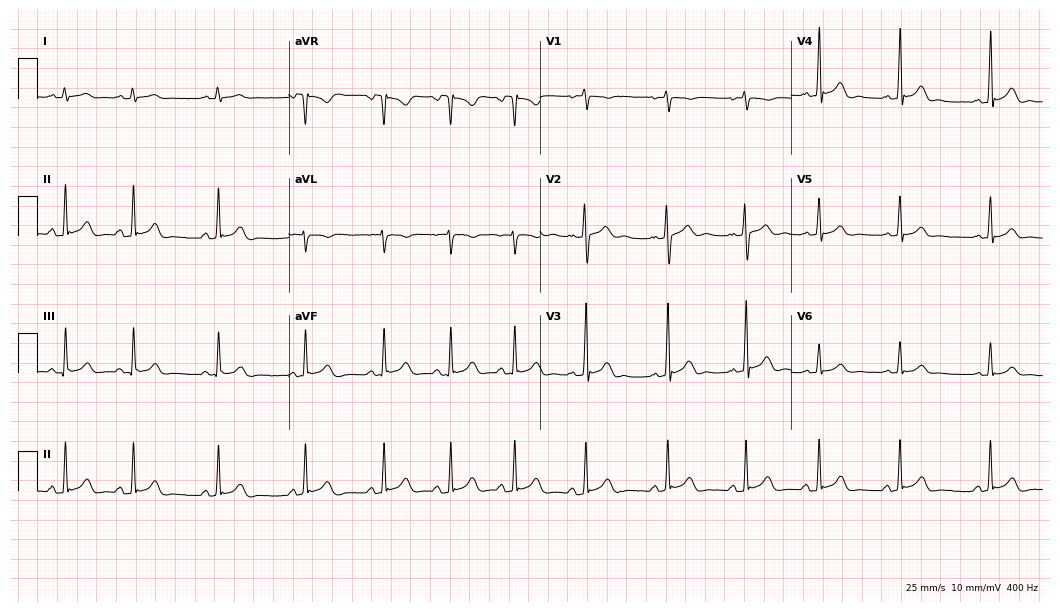
Standard 12-lead ECG recorded from a female patient, 18 years old. Read as a normal ECG.